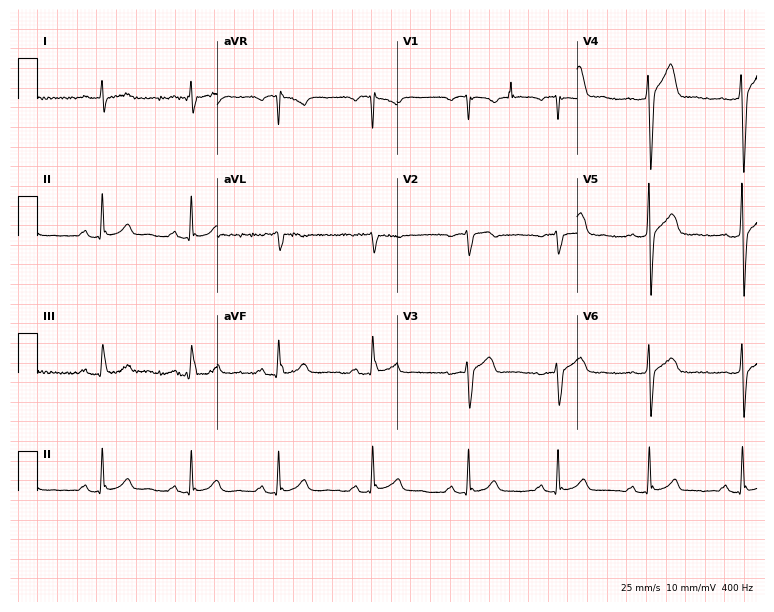
12-lead ECG from a 40-year-old man. Screened for six findings — first-degree AV block, right bundle branch block, left bundle branch block, sinus bradycardia, atrial fibrillation, sinus tachycardia — none is recorded.